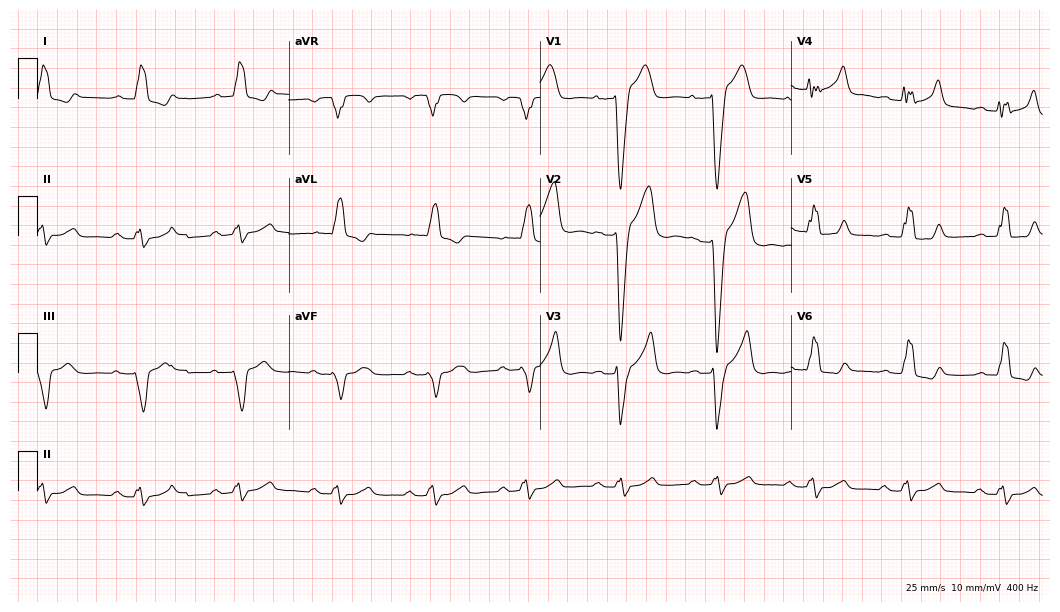
Resting 12-lead electrocardiogram (10.2-second recording at 400 Hz). Patient: a 67-year-old male. The tracing shows first-degree AV block, right bundle branch block.